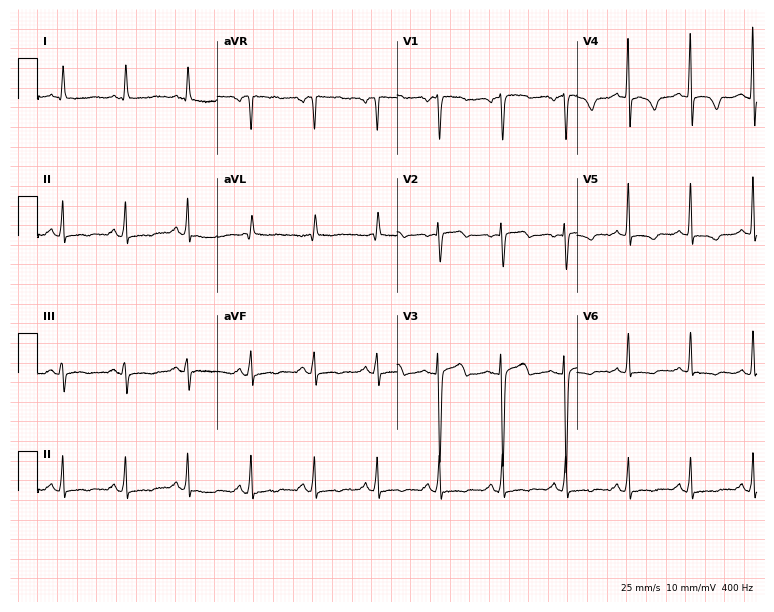
Electrocardiogram, an 83-year-old woman. Of the six screened findings (first-degree AV block, right bundle branch block, left bundle branch block, sinus bradycardia, atrial fibrillation, sinus tachycardia), none is recorded. Findings outside these six are not listed.